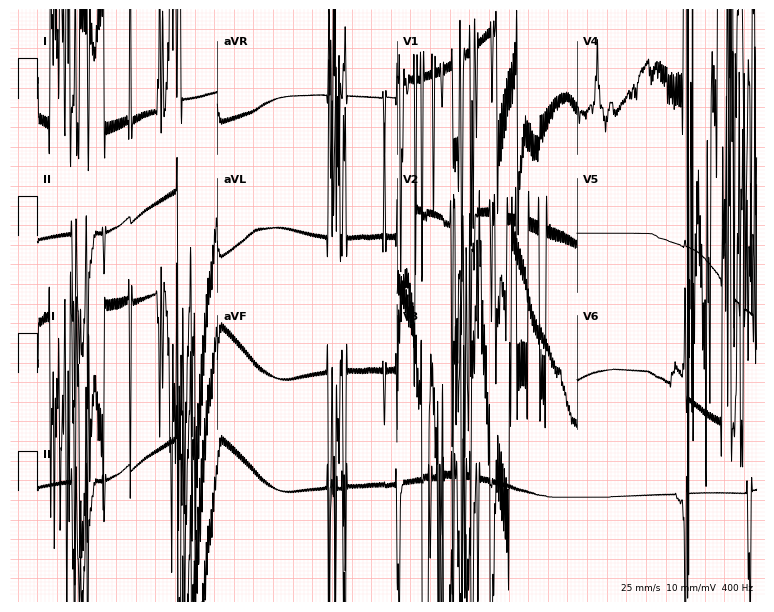
12-lead ECG (7.3-second recording at 400 Hz) from a 73-year-old male patient. Screened for six findings — first-degree AV block, right bundle branch block, left bundle branch block, sinus bradycardia, atrial fibrillation, sinus tachycardia — none is recorded. Other findings, if any, are not listed.